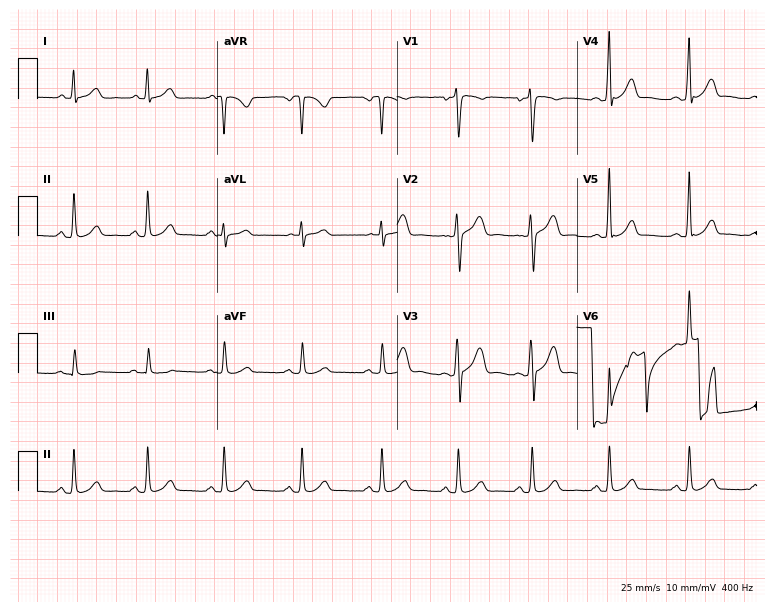
Standard 12-lead ECG recorded from a male, 27 years old. None of these six findings is recorded: first-degree AV block, right bundle branch block, left bundle branch block, sinus bradycardia, atrial fibrillation, sinus tachycardia. Only these six findings were labelled.